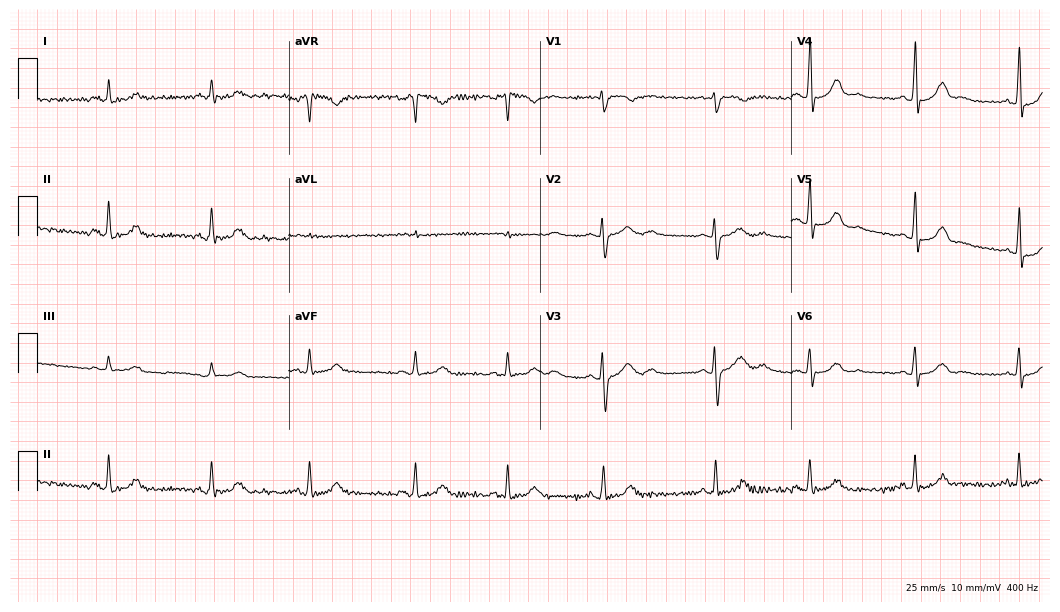
Standard 12-lead ECG recorded from an 18-year-old female (10.2-second recording at 400 Hz). None of these six findings is recorded: first-degree AV block, right bundle branch block, left bundle branch block, sinus bradycardia, atrial fibrillation, sinus tachycardia. Findings outside these six are not listed.